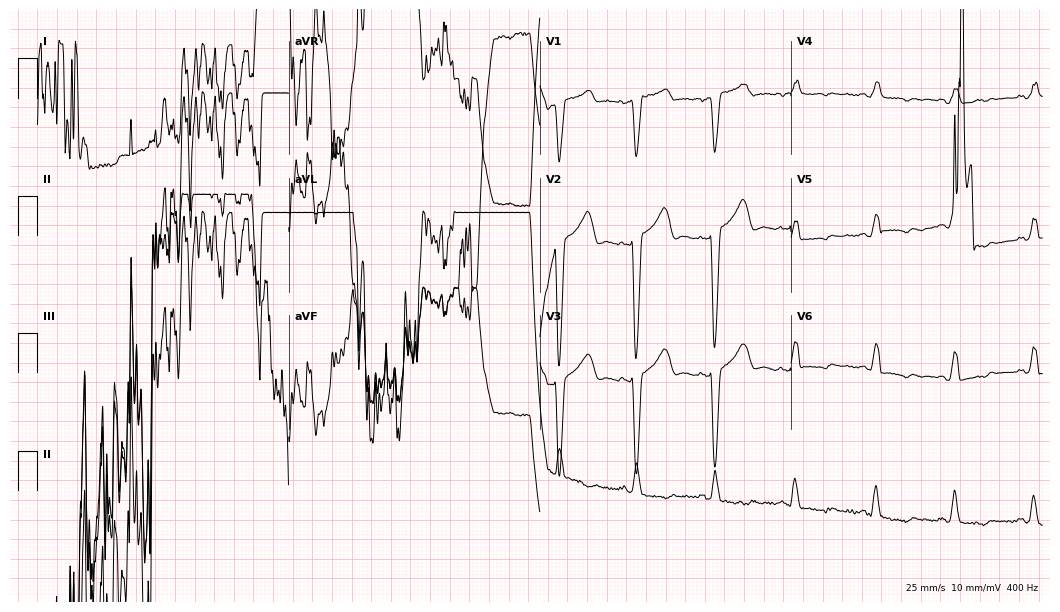
Resting 12-lead electrocardiogram (10.2-second recording at 400 Hz). Patient: a female, 71 years old. None of these six findings is recorded: first-degree AV block, right bundle branch block, left bundle branch block, sinus bradycardia, atrial fibrillation, sinus tachycardia. Only these six findings were labelled.